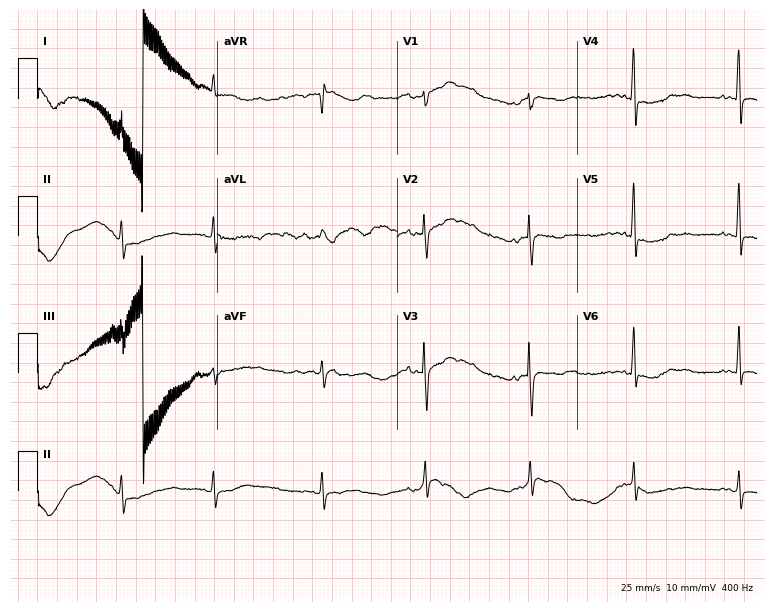
ECG — a male patient, 86 years old. Screened for six findings — first-degree AV block, right bundle branch block, left bundle branch block, sinus bradycardia, atrial fibrillation, sinus tachycardia — none is recorded.